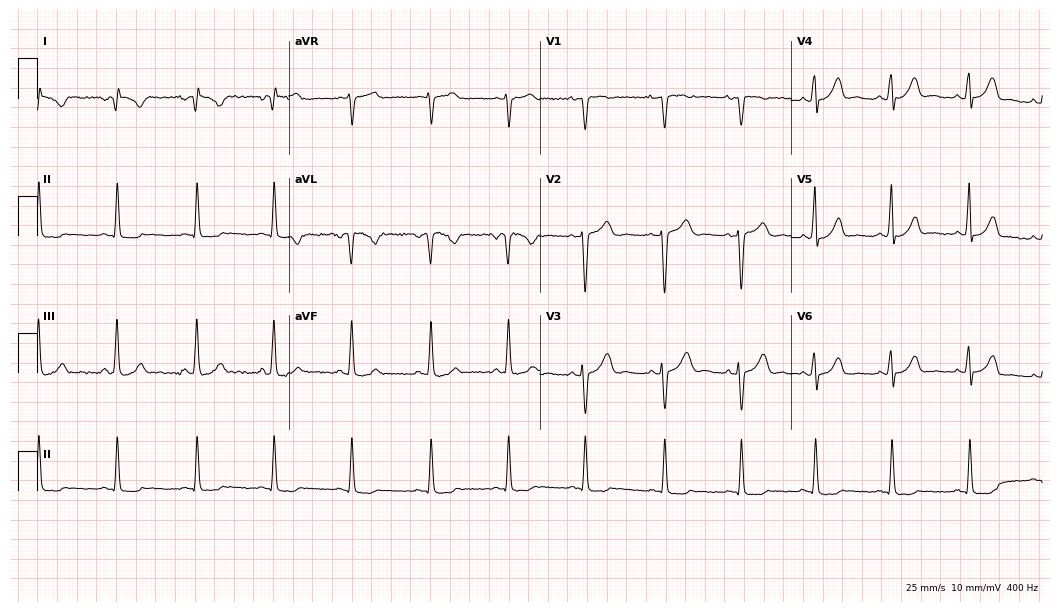
ECG (10.2-second recording at 400 Hz) — a female, 20 years old. Screened for six findings — first-degree AV block, right bundle branch block (RBBB), left bundle branch block (LBBB), sinus bradycardia, atrial fibrillation (AF), sinus tachycardia — none is recorded.